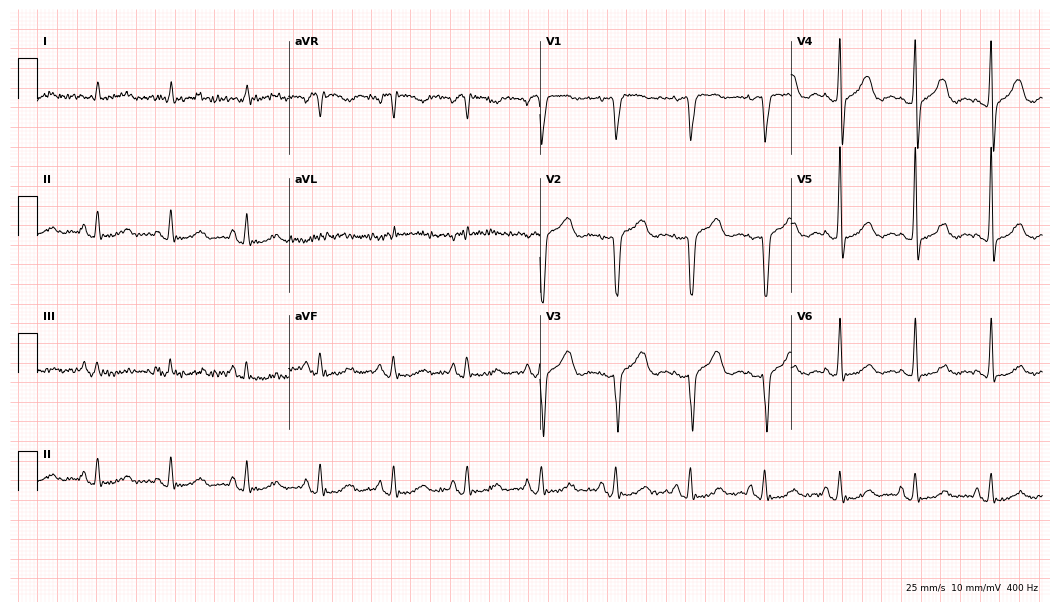
12-lead ECG from a 77-year-old male patient (10.2-second recording at 400 Hz). No first-degree AV block, right bundle branch block (RBBB), left bundle branch block (LBBB), sinus bradycardia, atrial fibrillation (AF) or sinus tachycardia recorded for this tracing.